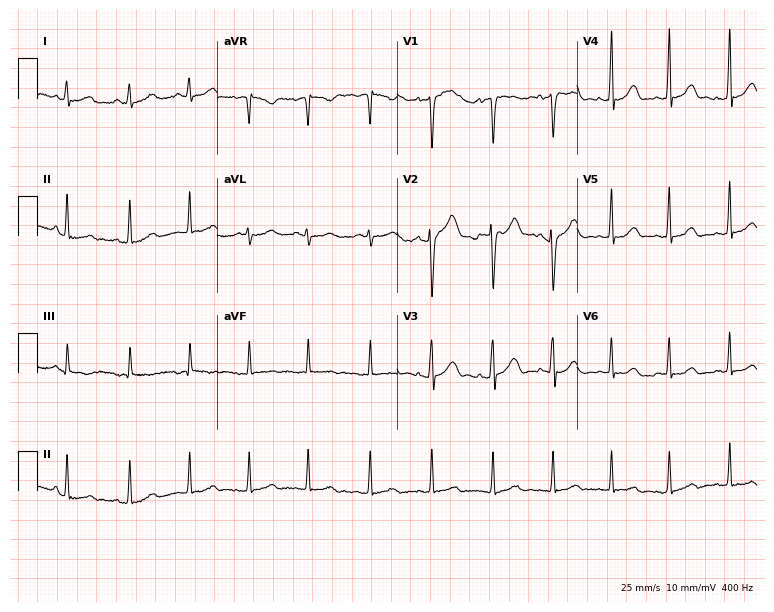
12-lead ECG (7.3-second recording at 400 Hz) from a 22-year-old woman. Labelled as a normal ECG.